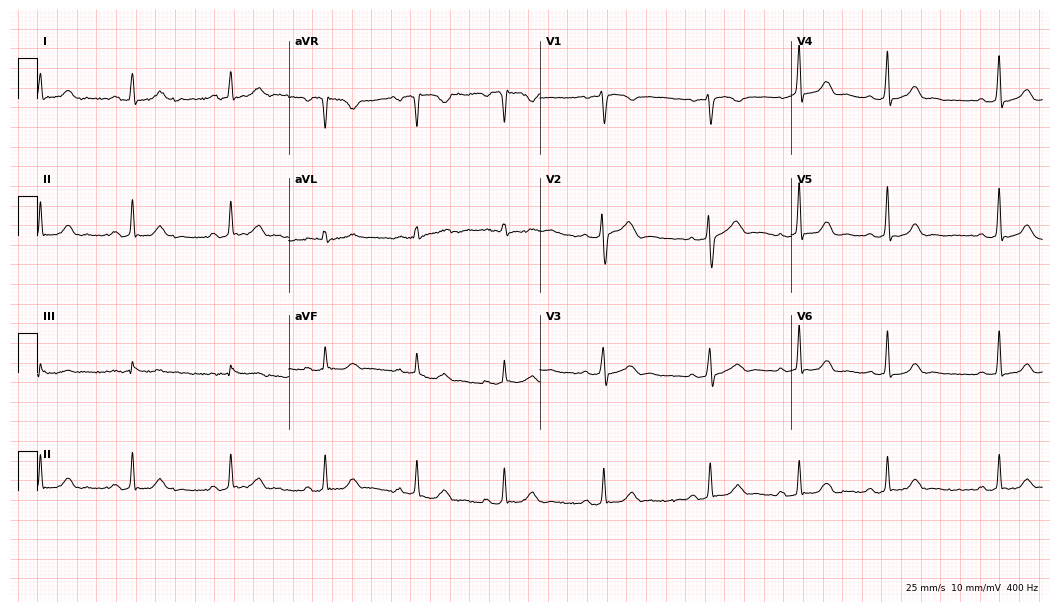
ECG — a female, 34 years old. Labelled as a normal ECG.